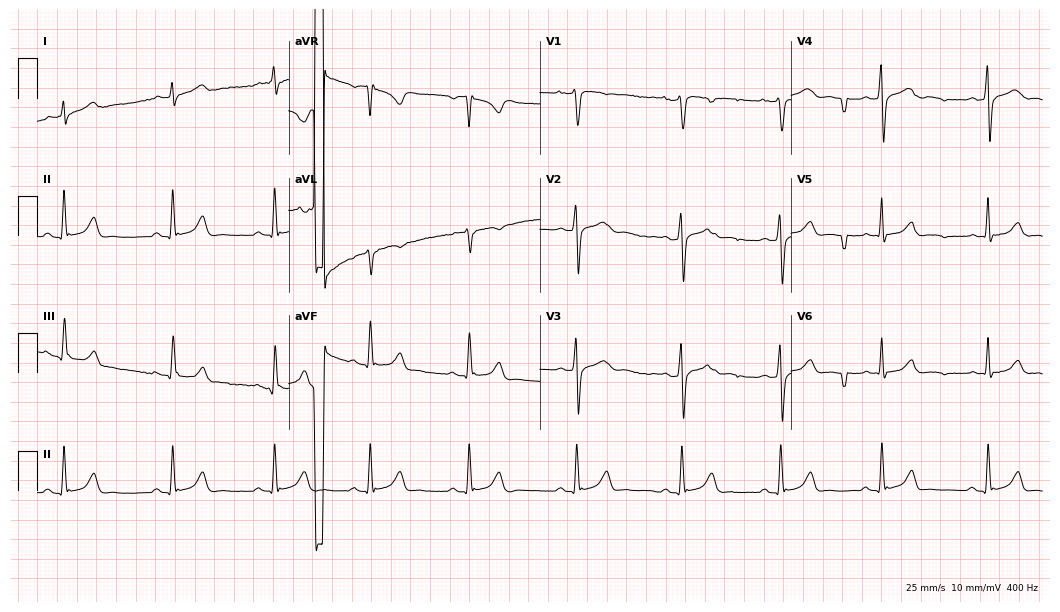
12-lead ECG (10.2-second recording at 400 Hz) from a male patient, 27 years old. Labelled as a normal ECG.